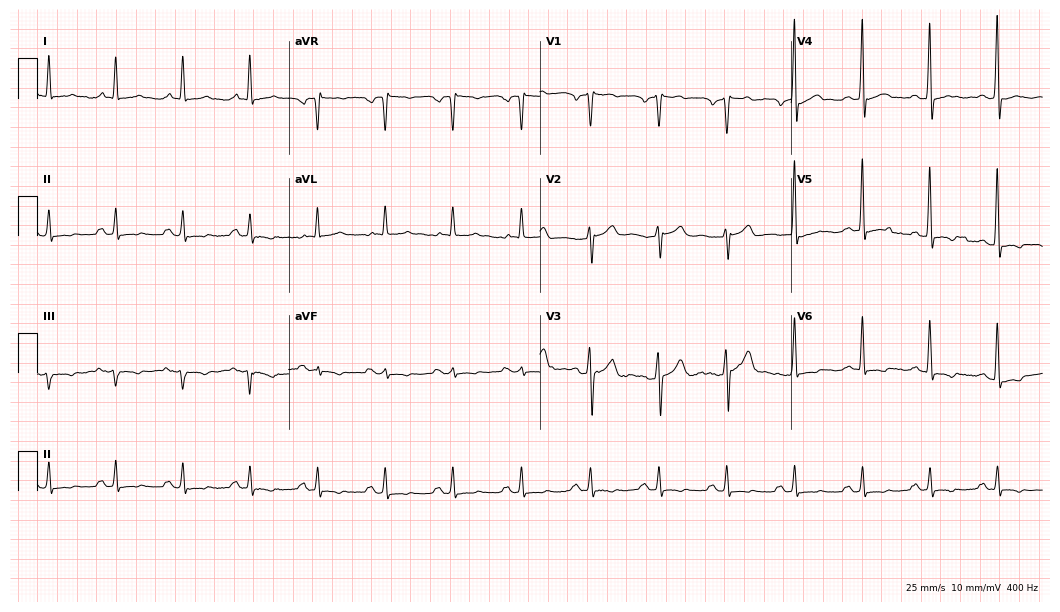
Electrocardiogram, a 58-year-old male patient. Of the six screened findings (first-degree AV block, right bundle branch block, left bundle branch block, sinus bradycardia, atrial fibrillation, sinus tachycardia), none is recorded. Findings outside these six are not listed.